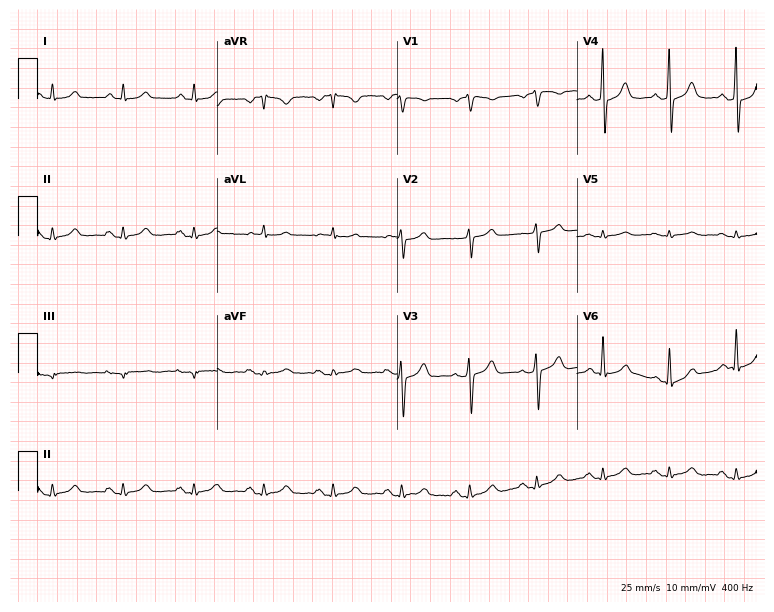
ECG (7.3-second recording at 400 Hz) — a 68-year-old man. Screened for six findings — first-degree AV block, right bundle branch block, left bundle branch block, sinus bradycardia, atrial fibrillation, sinus tachycardia — none is recorded. Other findings, if any, are not listed.